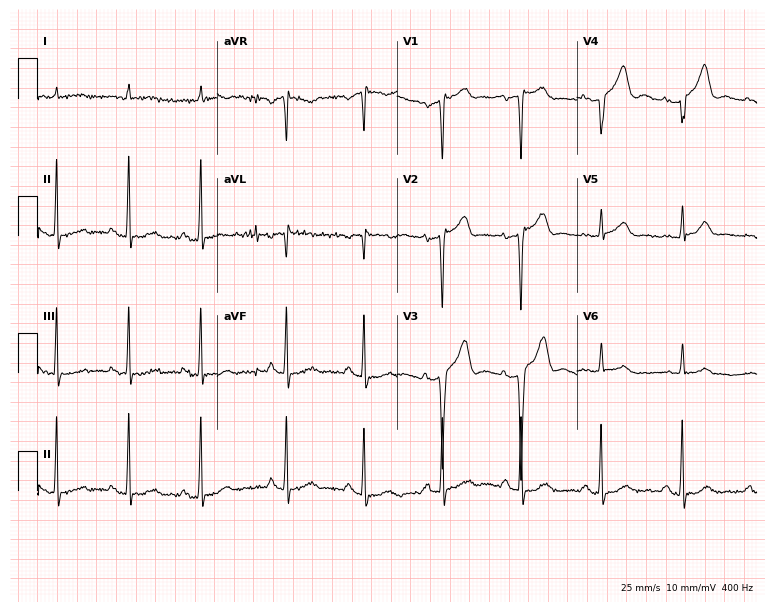
12-lead ECG from a man, 77 years old. Screened for six findings — first-degree AV block, right bundle branch block (RBBB), left bundle branch block (LBBB), sinus bradycardia, atrial fibrillation (AF), sinus tachycardia — none is recorded.